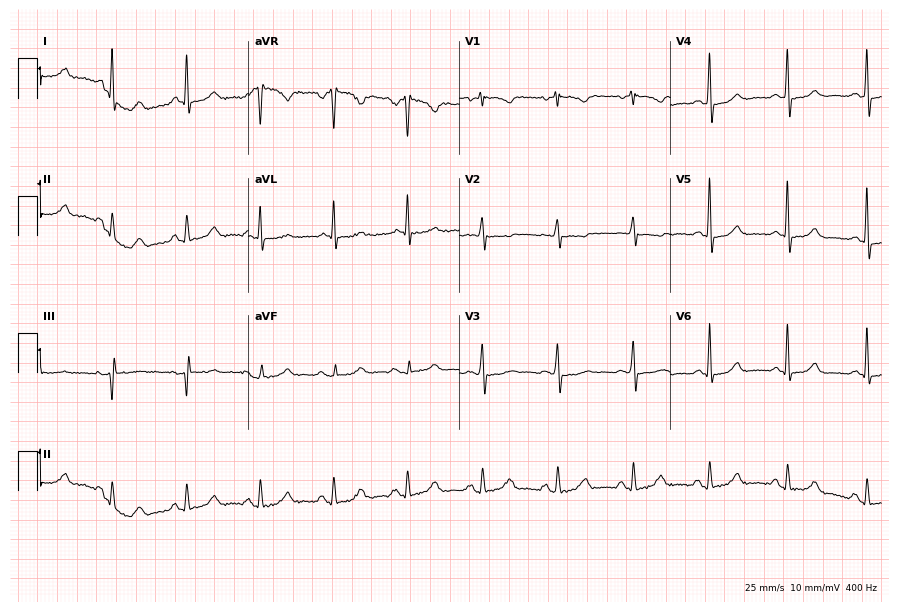
ECG (8.6-second recording at 400 Hz) — a female patient, 64 years old. Screened for six findings — first-degree AV block, right bundle branch block, left bundle branch block, sinus bradycardia, atrial fibrillation, sinus tachycardia — none is recorded. Findings outside these six are not listed.